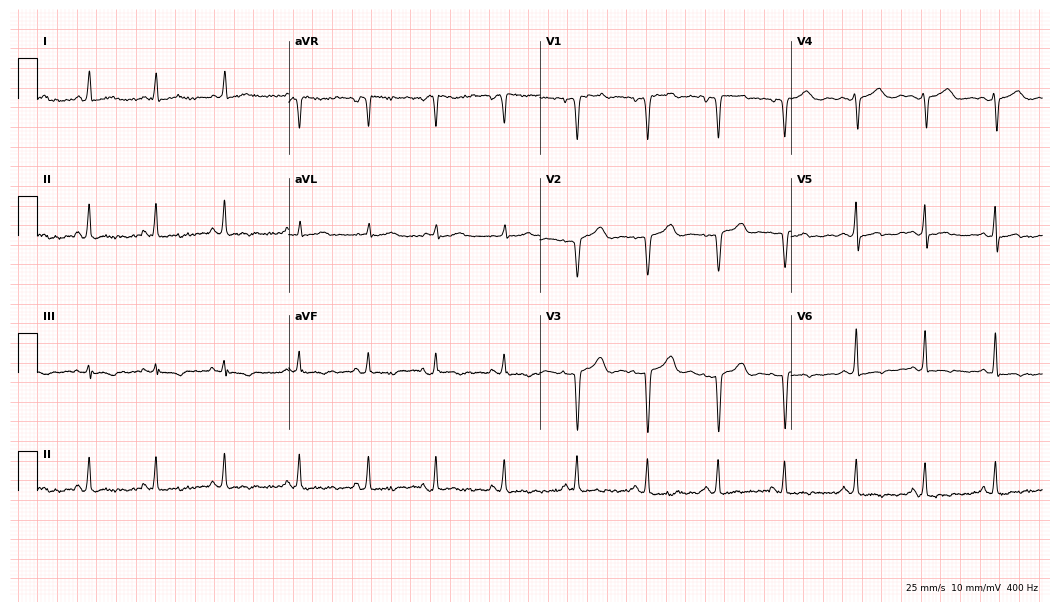
Electrocardiogram (10.2-second recording at 400 Hz), a female, 44 years old. Of the six screened findings (first-degree AV block, right bundle branch block, left bundle branch block, sinus bradycardia, atrial fibrillation, sinus tachycardia), none is recorded. Findings outside these six are not listed.